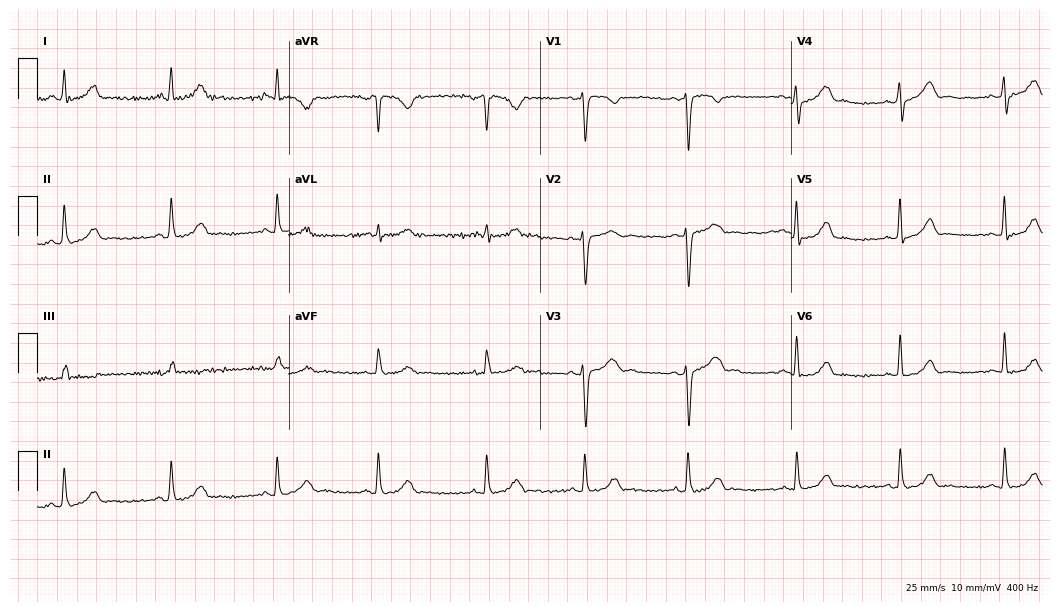
12-lead ECG (10.2-second recording at 400 Hz) from a woman, 44 years old. Labelled as a normal ECG.